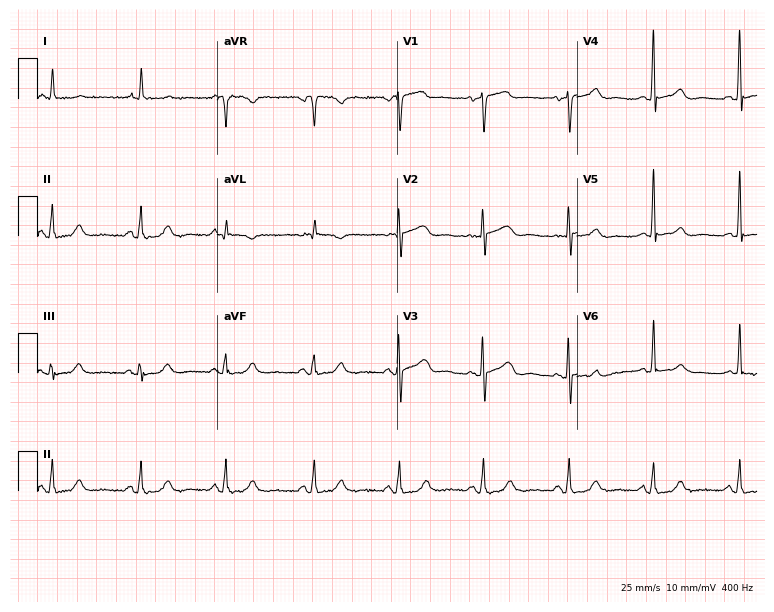
Resting 12-lead electrocardiogram. Patient: a female, 79 years old. None of these six findings is recorded: first-degree AV block, right bundle branch block, left bundle branch block, sinus bradycardia, atrial fibrillation, sinus tachycardia. Other findings, if any, are not listed.